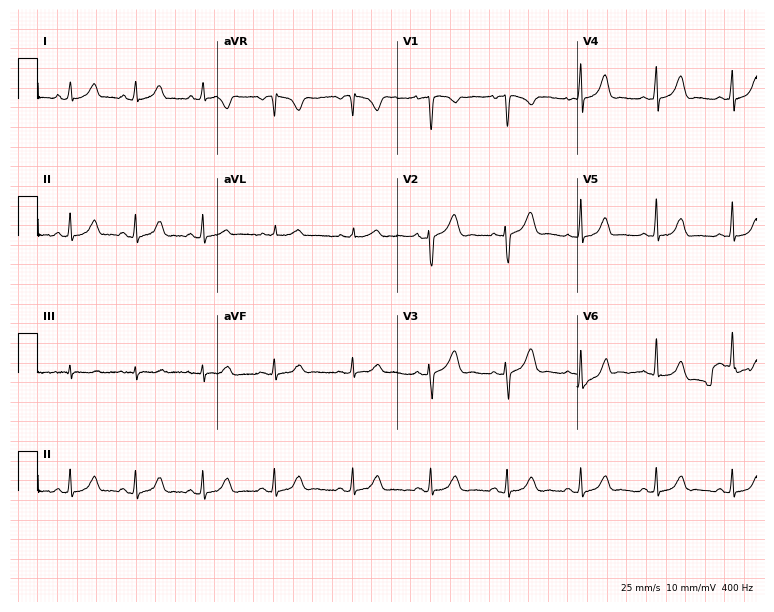
Electrocardiogram, a female, 24 years old. Overall reading on record: normal ECG.